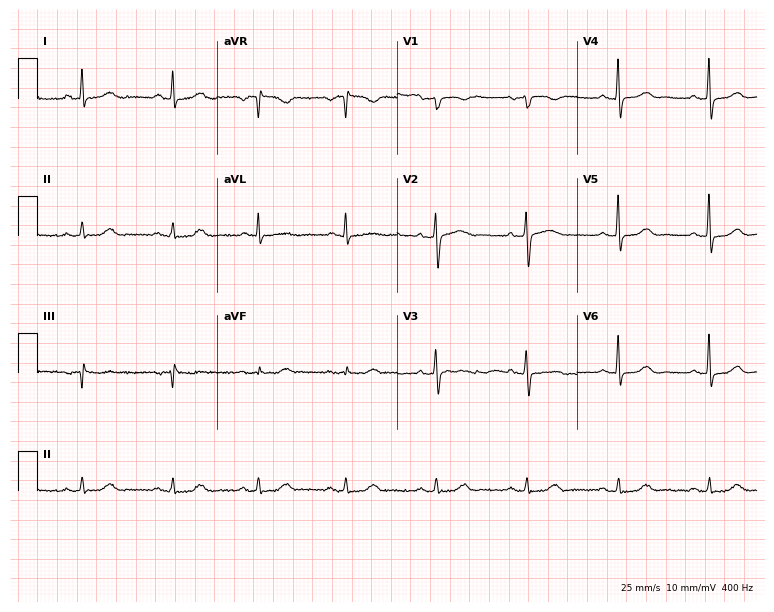
12-lead ECG from a 78-year-old female patient (7.3-second recording at 400 Hz). Recorded interpretation: within normal limits.